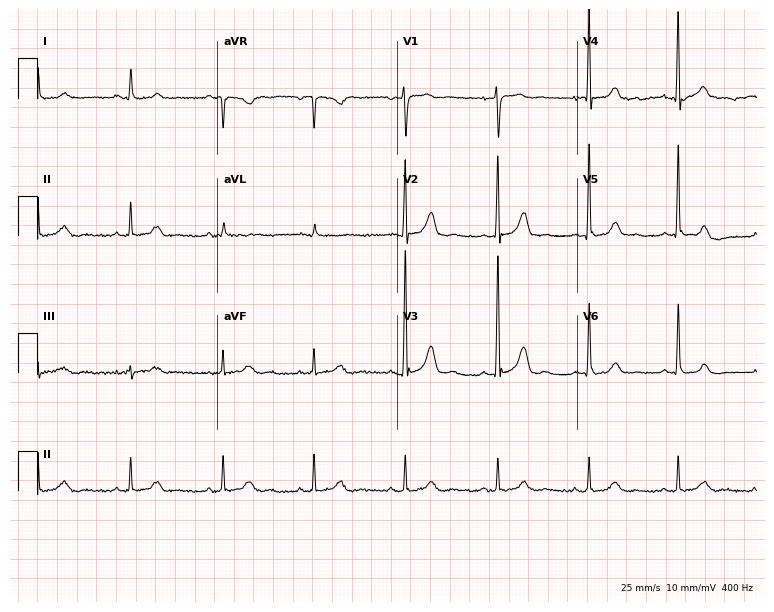
12-lead ECG from a woman, 80 years old. Recorded interpretation: within normal limits.